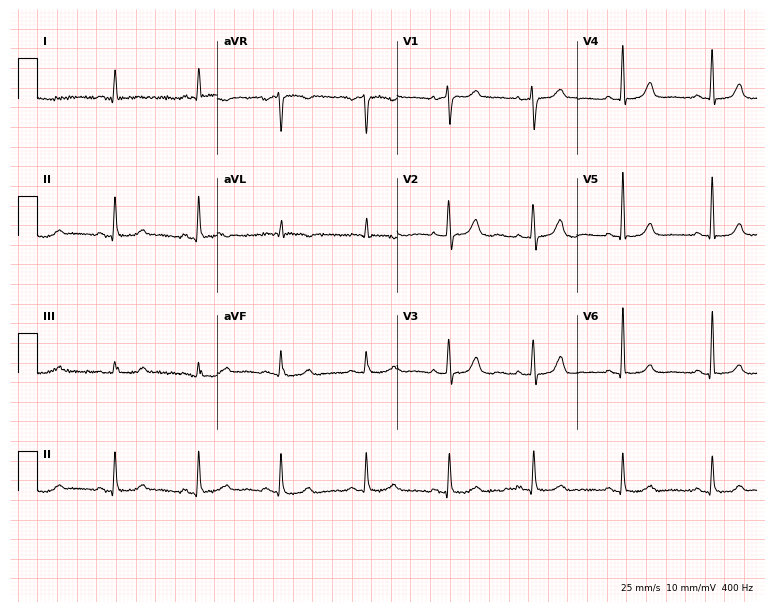
Electrocardiogram (7.3-second recording at 400 Hz), a 78-year-old female. Of the six screened findings (first-degree AV block, right bundle branch block, left bundle branch block, sinus bradycardia, atrial fibrillation, sinus tachycardia), none is recorded.